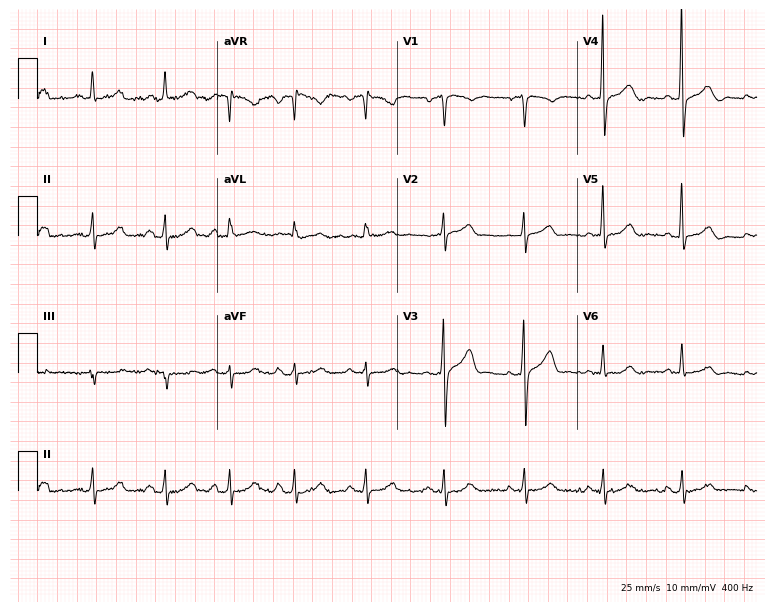
12-lead ECG from a 66-year-old male (7.3-second recording at 400 Hz). No first-degree AV block, right bundle branch block, left bundle branch block, sinus bradycardia, atrial fibrillation or sinus tachycardia recorded for this tracing.